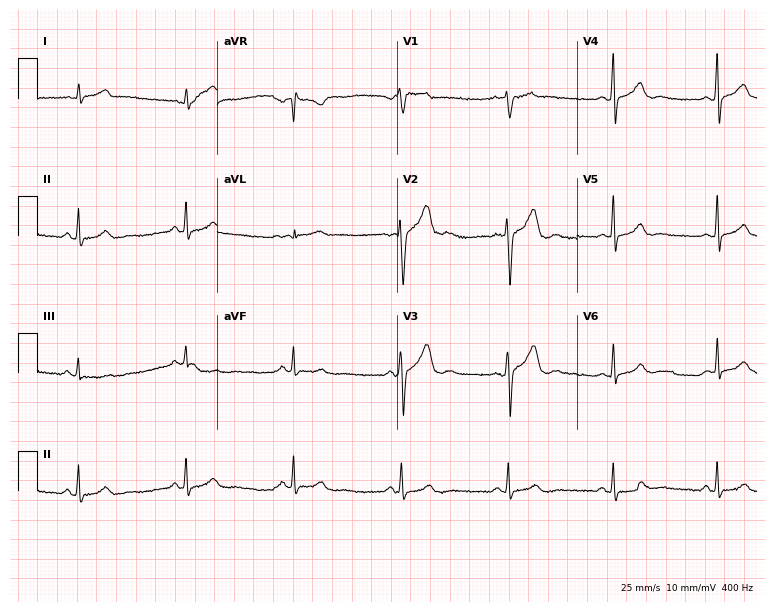
Electrocardiogram (7.3-second recording at 400 Hz), a male, 45 years old. Overall reading on record: normal ECG.